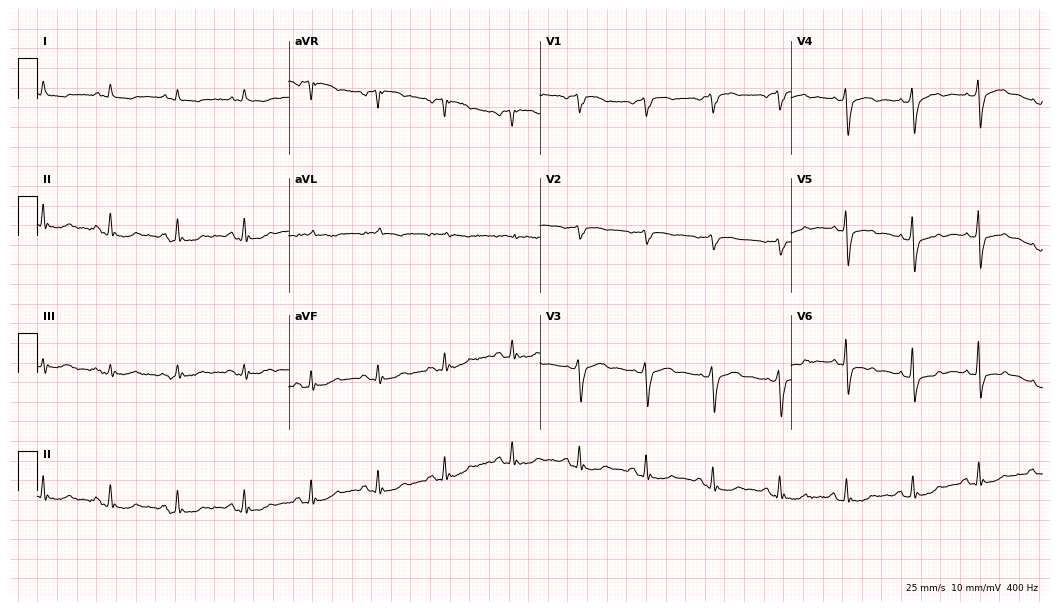
Standard 12-lead ECG recorded from a male, 85 years old (10.2-second recording at 400 Hz). None of these six findings is recorded: first-degree AV block, right bundle branch block, left bundle branch block, sinus bradycardia, atrial fibrillation, sinus tachycardia. Only these six findings were labelled.